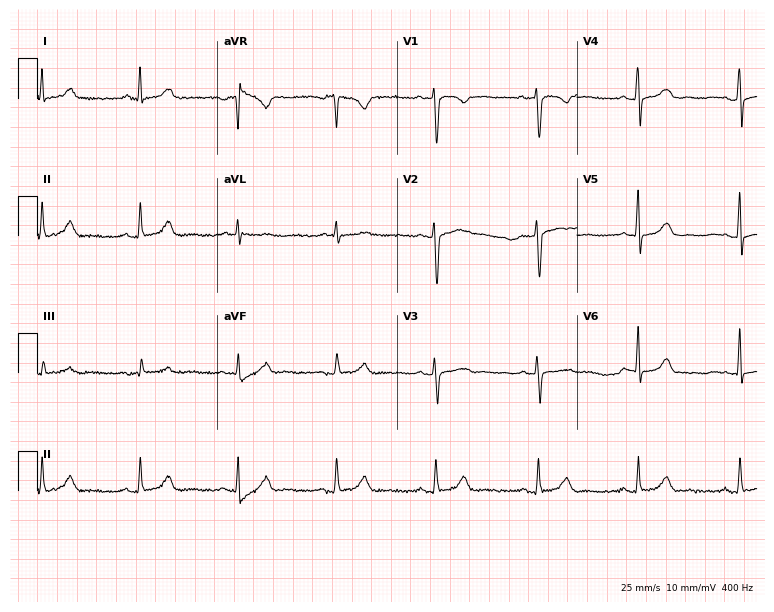
Resting 12-lead electrocardiogram. Patient: a 32-year-old female. Read as a normal ECG.